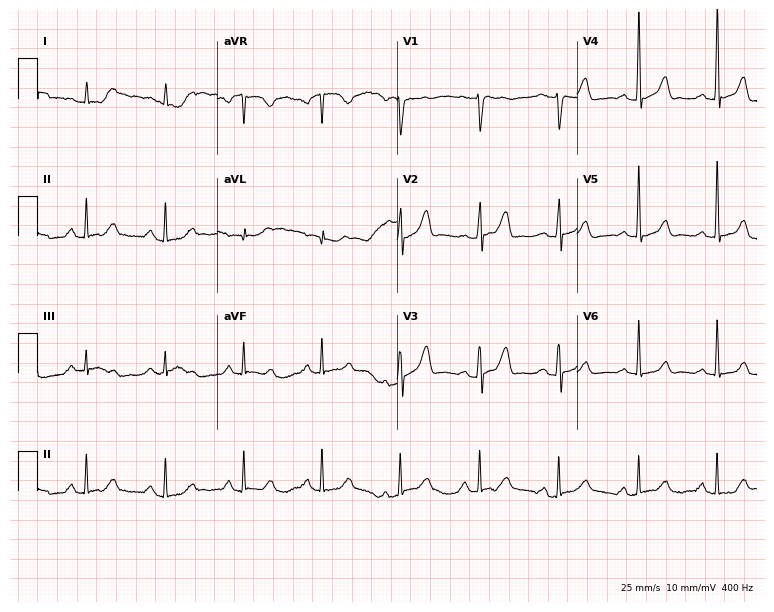
ECG — a 76-year-old male patient. Labelled as a normal ECG.